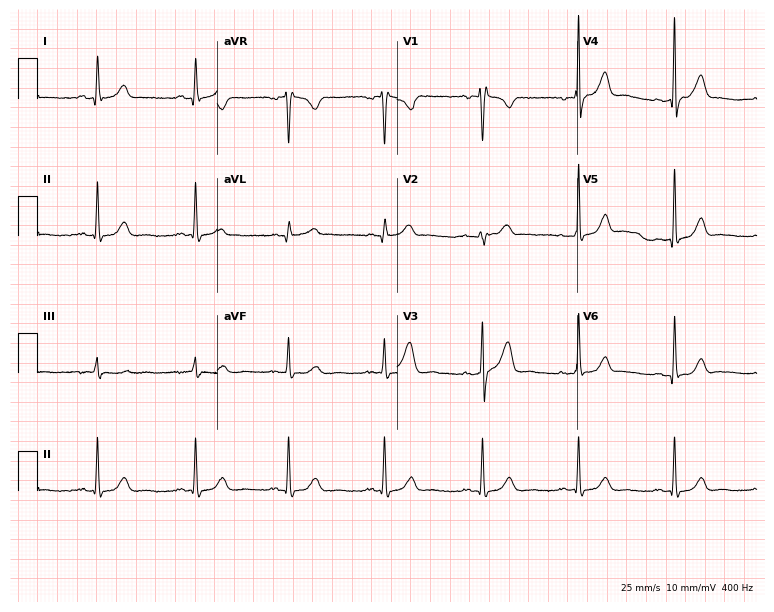
Resting 12-lead electrocardiogram. Patient: a female, 35 years old. Read as a normal ECG.